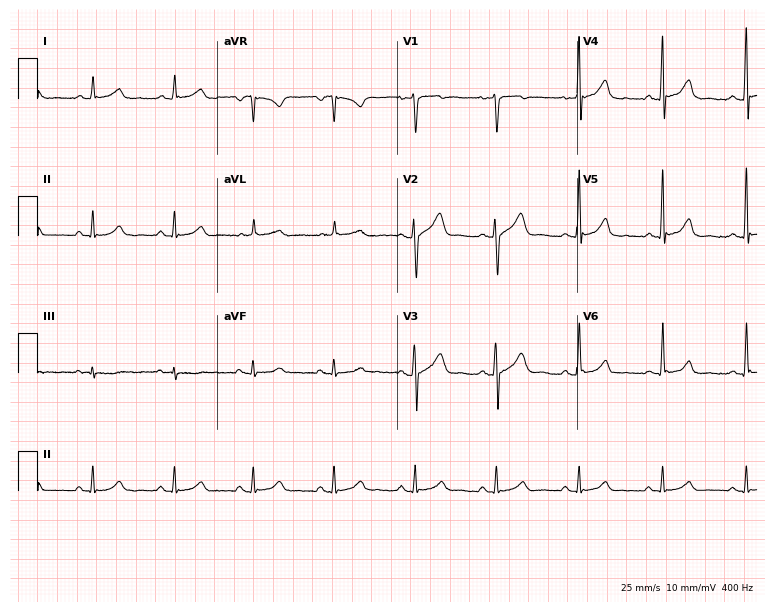
12-lead ECG (7.3-second recording at 400 Hz) from a 44-year-old male. Screened for six findings — first-degree AV block, right bundle branch block, left bundle branch block, sinus bradycardia, atrial fibrillation, sinus tachycardia — none is recorded. Other findings, if any, are not listed.